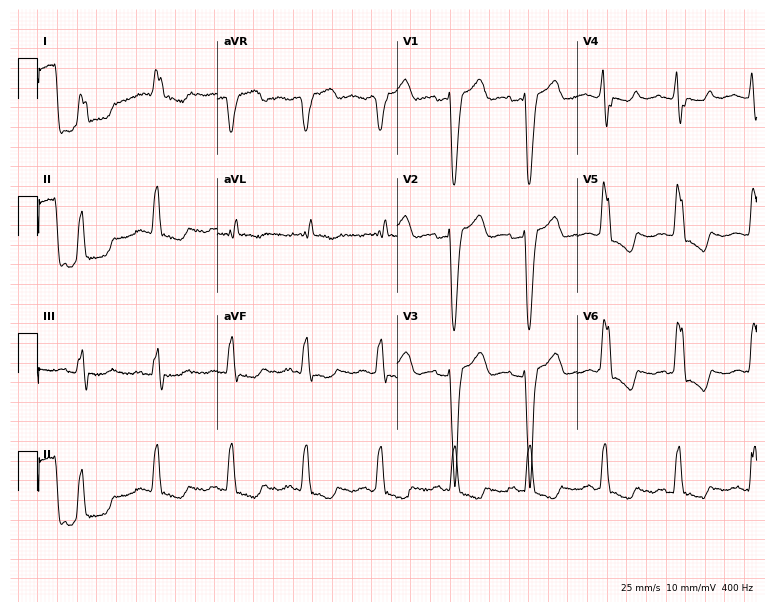
Resting 12-lead electrocardiogram (7.3-second recording at 400 Hz). Patient: a man, 85 years old. The tracing shows left bundle branch block (LBBB).